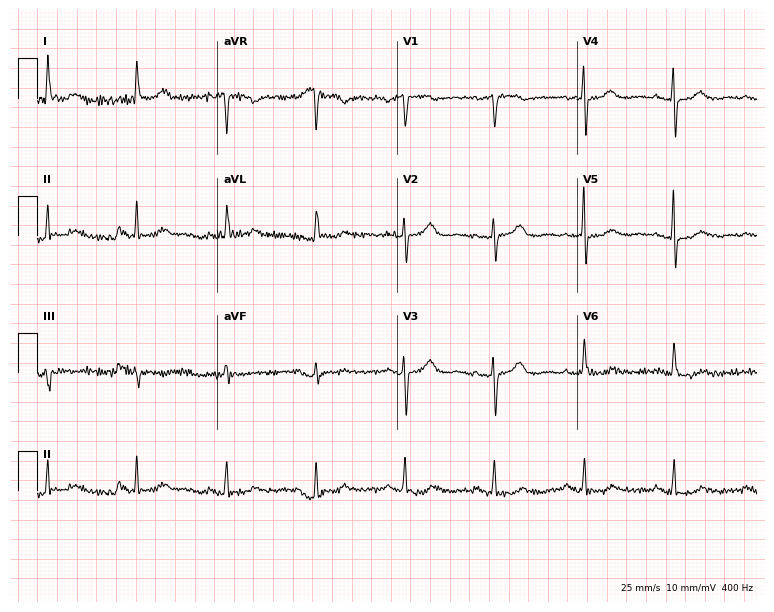
12-lead ECG from a woman, 82 years old. Labelled as a normal ECG.